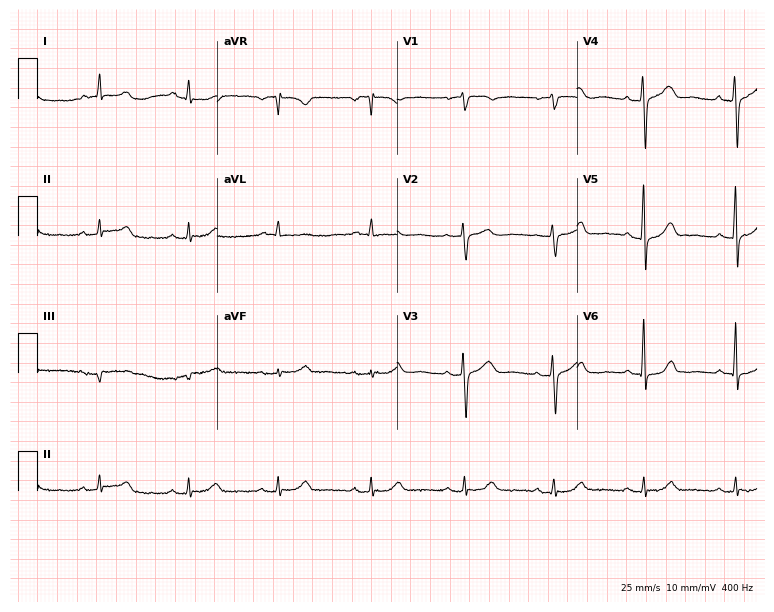
12-lead ECG from a woman, 67 years old (7.3-second recording at 400 Hz). Recorded interpretation: within normal limits.